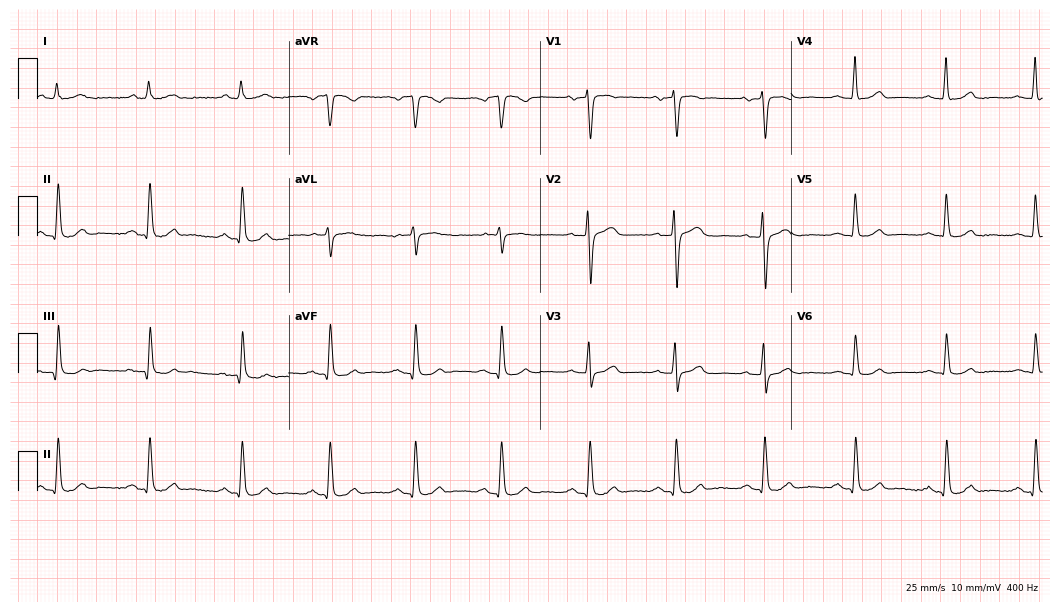
Standard 12-lead ECG recorded from a 68-year-old male (10.2-second recording at 400 Hz). None of these six findings is recorded: first-degree AV block, right bundle branch block, left bundle branch block, sinus bradycardia, atrial fibrillation, sinus tachycardia. Only these six findings were labelled.